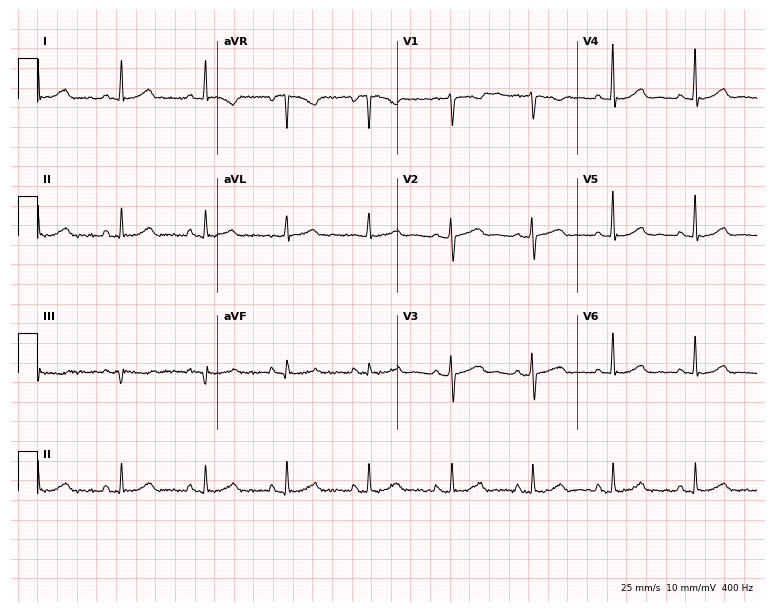
ECG (7.3-second recording at 400 Hz) — a female, 45 years old. Labelled as a normal ECG.